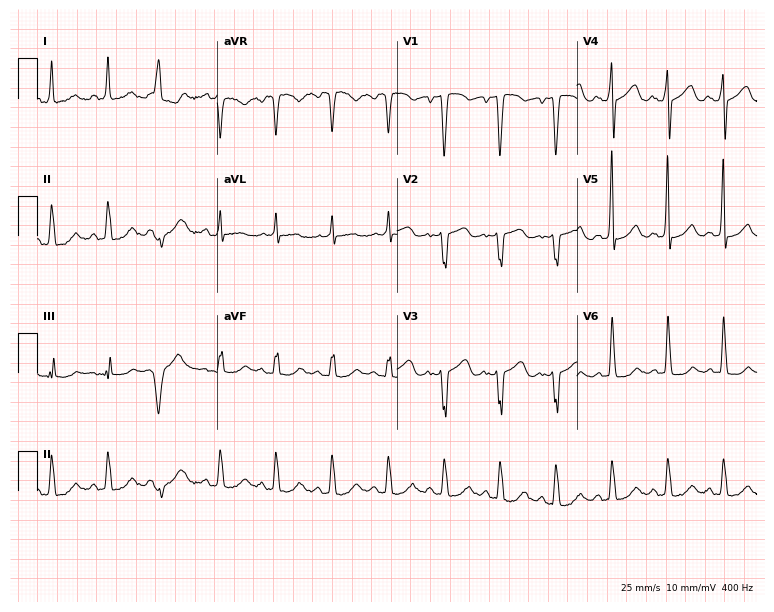
ECG (7.3-second recording at 400 Hz) — a 52-year-old female patient. Screened for six findings — first-degree AV block, right bundle branch block (RBBB), left bundle branch block (LBBB), sinus bradycardia, atrial fibrillation (AF), sinus tachycardia — none is recorded. Findings outside these six are not listed.